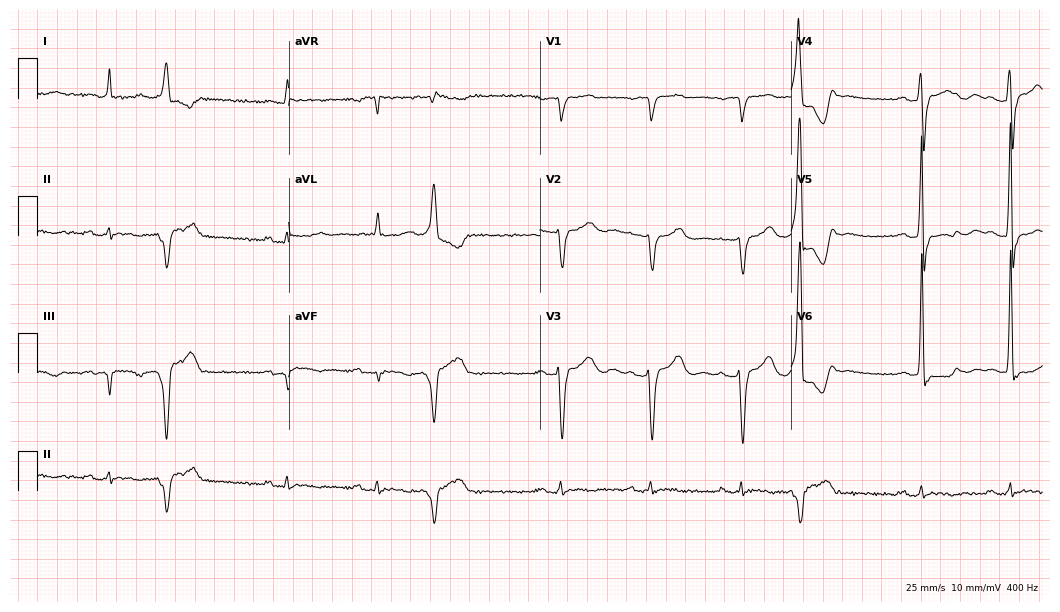
12-lead ECG (10.2-second recording at 400 Hz) from a 78-year-old male patient. Screened for six findings — first-degree AV block, right bundle branch block (RBBB), left bundle branch block (LBBB), sinus bradycardia, atrial fibrillation (AF), sinus tachycardia — none is recorded. Only these six findings were labelled.